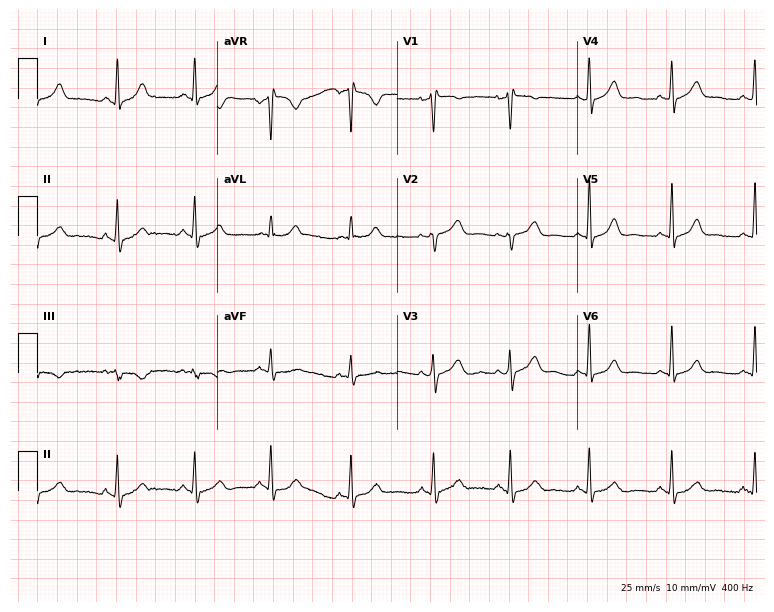
Resting 12-lead electrocardiogram (7.3-second recording at 400 Hz). Patient: a 30-year-old female. Read as a normal ECG.